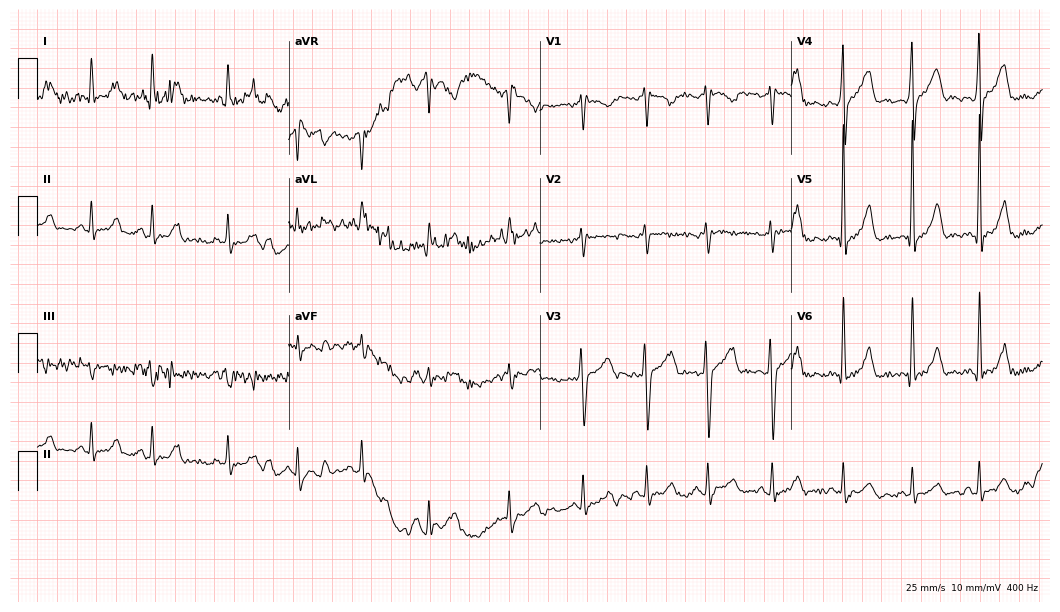
12-lead ECG from a female, 30 years old (10.2-second recording at 400 Hz). No first-degree AV block, right bundle branch block (RBBB), left bundle branch block (LBBB), sinus bradycardia, atrial fibrillation (AF) or sinus tachycardia recorded for this tracing. Other findings, if any, are not listed.